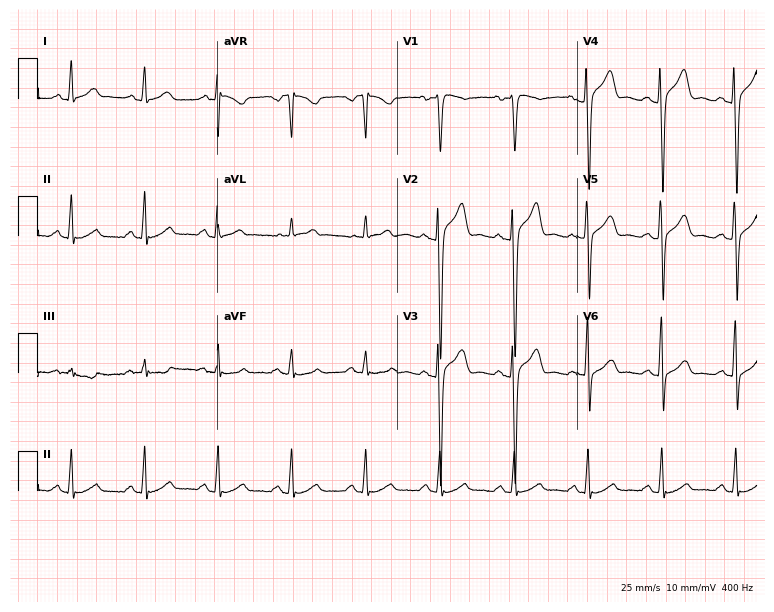
ECG — a 40-year-old male patient. Labelled as a normal ECG.